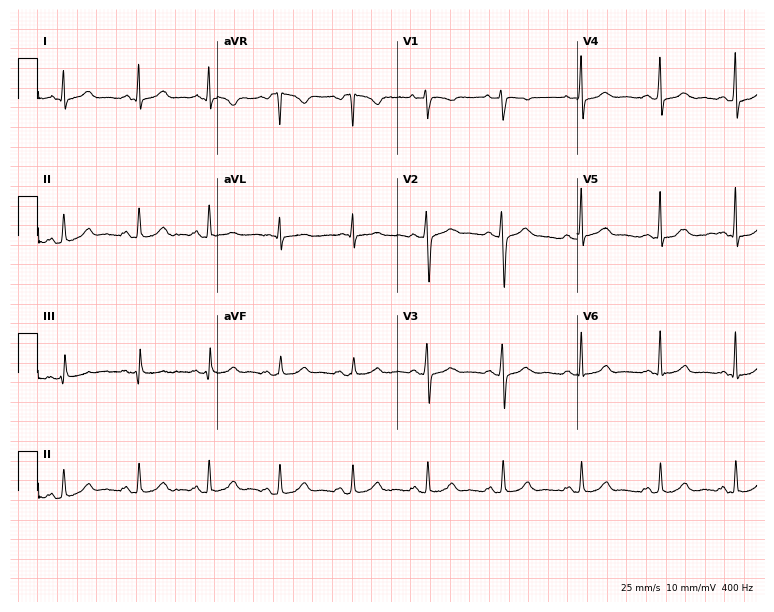
Electrocardiogram, a female patient, 40 years old. Of the six screened findings (first-degree AV block, right bundle branch block (RBBB), left bundle branch block (LBBB), sinus bradycardia, atrial fibrillation (AF), sinus tachycardia), none is recorded. Only these six findings were labelled.